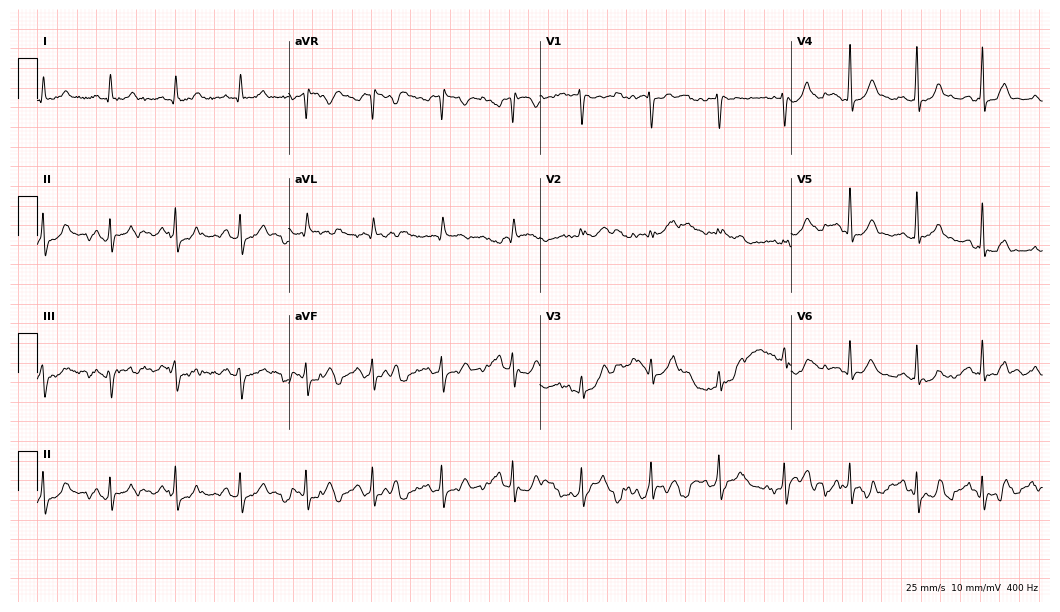
Standard 12-lead ECG recorded from a female patient, 44 years old. Read as a normal ECG.